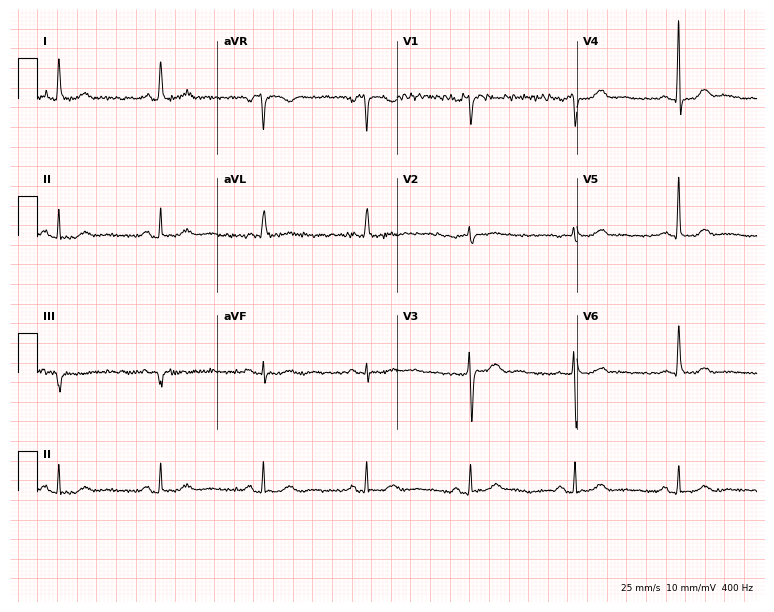
12-lead ECG (7.3-second recording at 400 Hz) from a 71-year-old female patient. Labelled as a normal ECG.